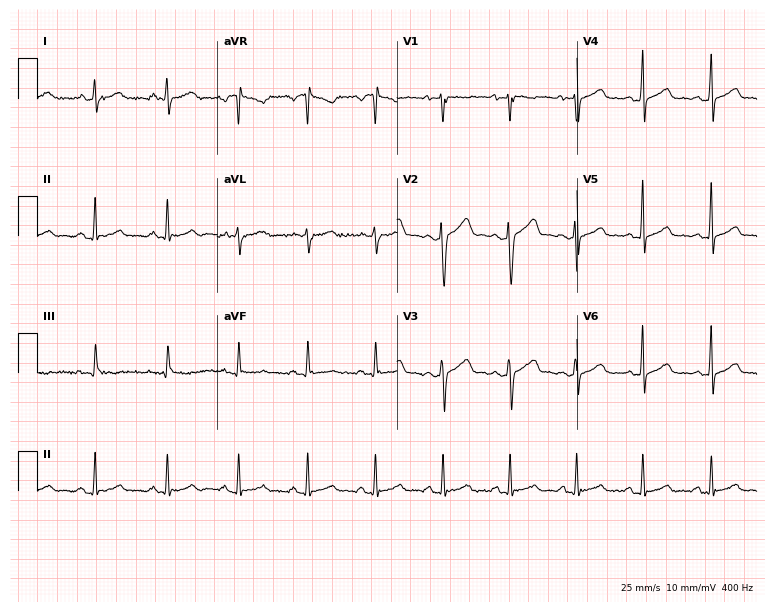
Standard 12-lead ECG recorded from a 30-year-old male patient. Read as a normal ECG.